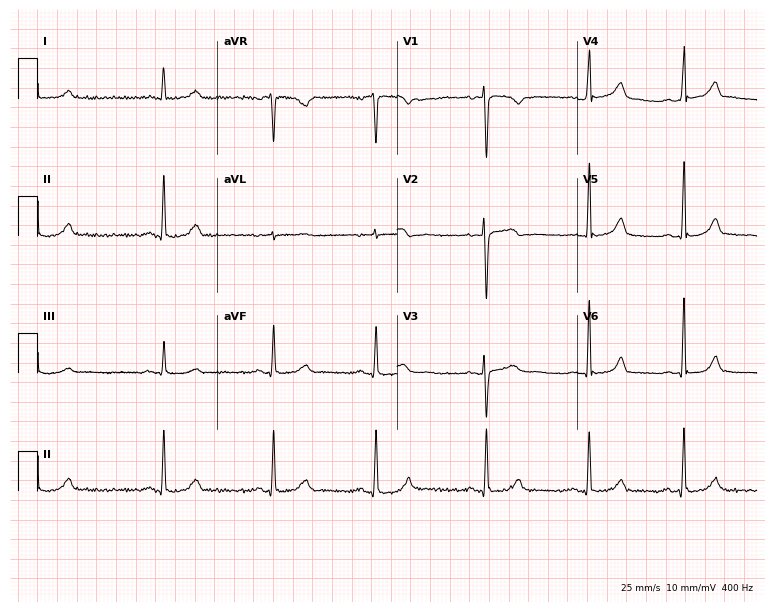
Resting 12-lead electrocardiogram (7.3-second recording at 400 Hz). Patient: a female, 32 years old. Read as a normal ECG.